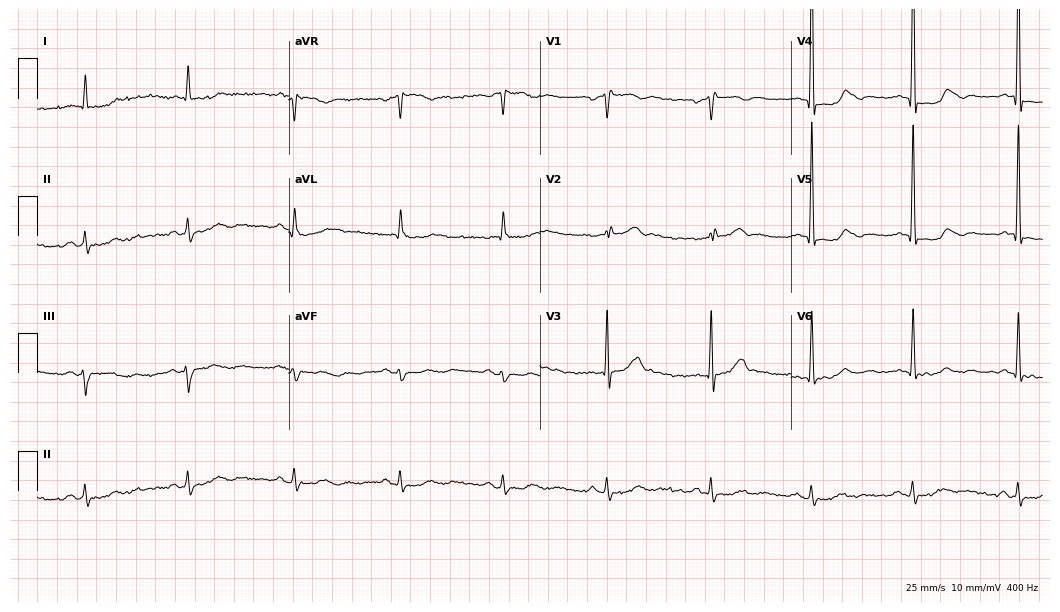
Electrocardiogram, a male, 70 years old. Of the six screened findings (first-degree AV block, right bundle branch block (RBBB), left bundle branch block (LBBB), sinus bradycardia, atrial fibrillation (AF), sinus tachycardia), none is recorded.